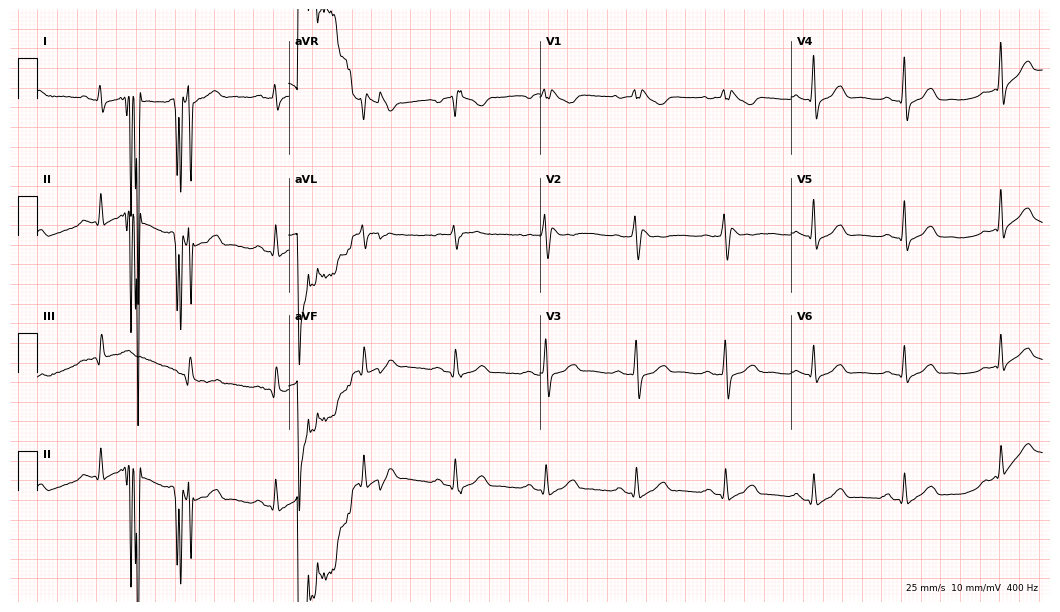
Resting 12-lead electrocardiogram (10.2-second recording at 400 Hz). Patient: a 52-year-old female. None of these six findings is recorded: first-degree AV block, right bundle branch block, left bundle branch block, sinus bradycardia, atrial fibrillation, sinus tachycardia.